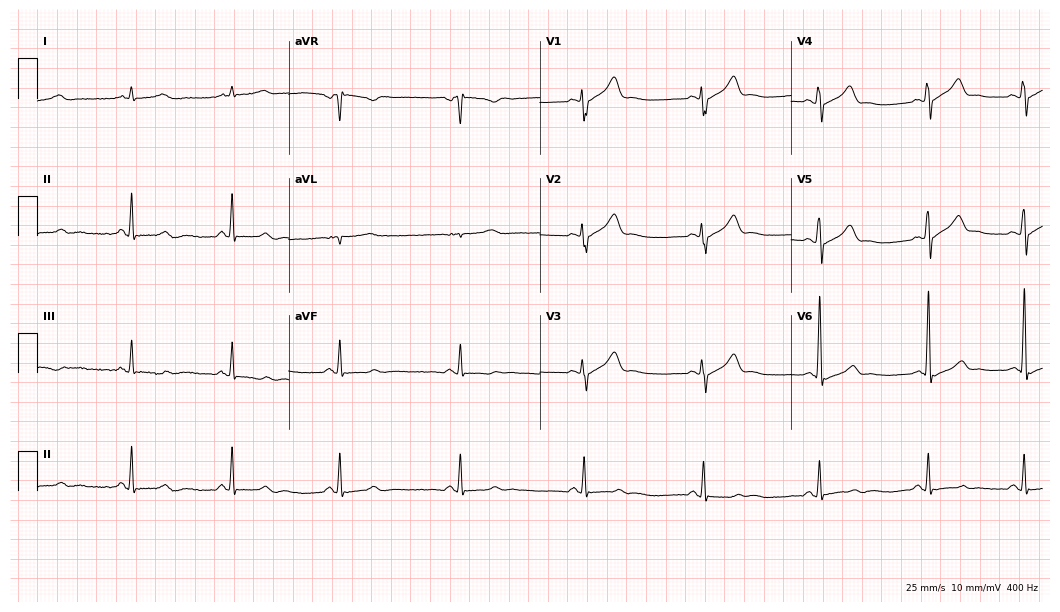
ECG (10.2-second recording at 400 Hz) — a male, 53 years old. Screened for six findings — first-degree AV block, right bundle branch block (RBBB), left bundle branch block (LBBB), sinus bradycardia, atrial fibrillation (AF), sinus tachycardia — none is recorded.